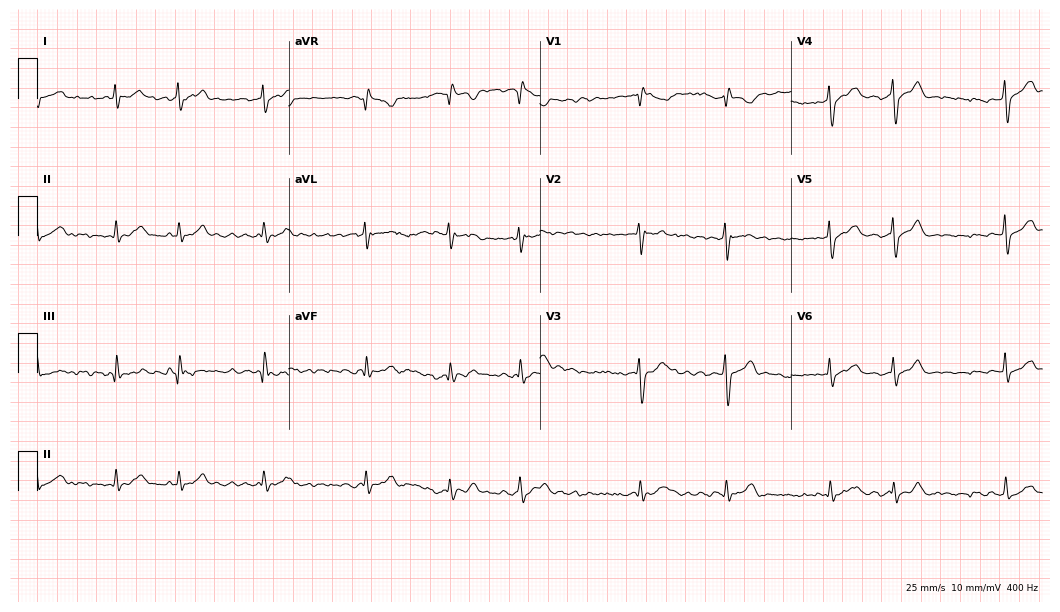
Standard 12-lead ECG recorded from a male patient, 55 years old. The tracing shows atrial fibrillation.